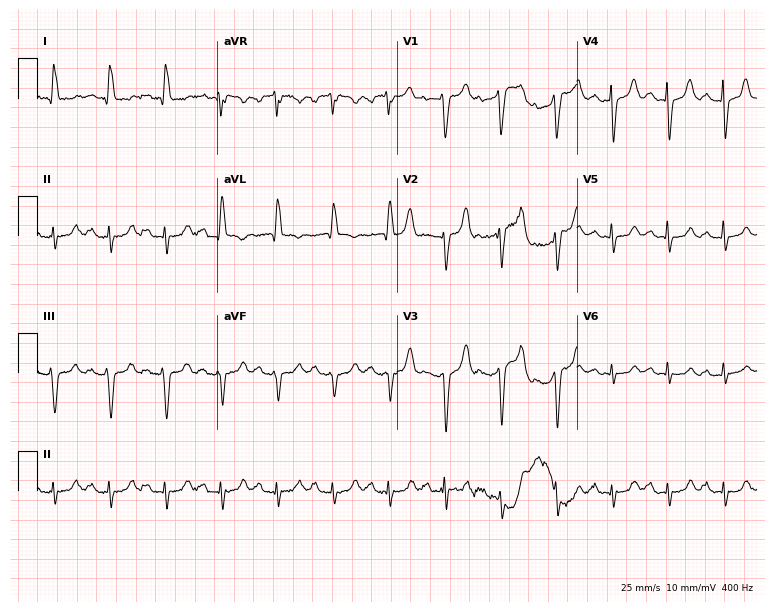
ECG (7.3-second recording at 400 Hz) — a female patient, 65 years old. Findings include sinus tachycardia (a sinus rate of 100 beats per minute or more).